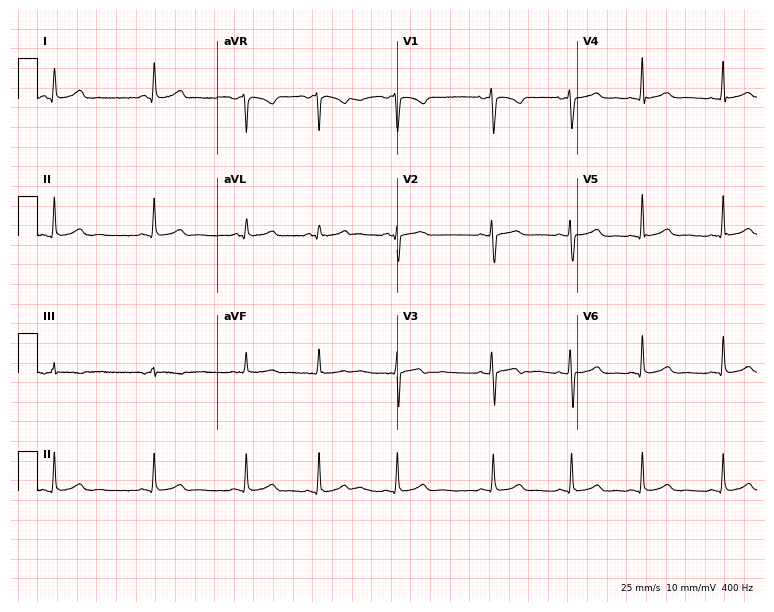
Electrocardiogram, an 18-year-old female. Overall reading on record: normal ECG.